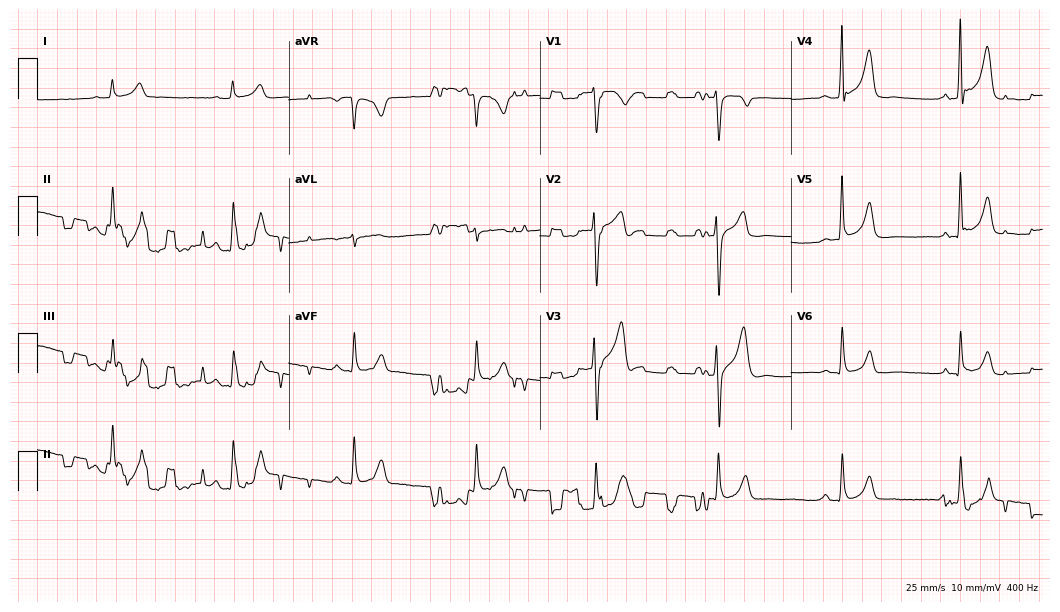
12-lead ECG from an 81-year-old male. No first-degree AV block, right bundle branch block, left bundle branch block, sinus bradycardia, atrial fibrillation or sinus tachycardia recorded for this tracing. Findings outside these six are not listed.